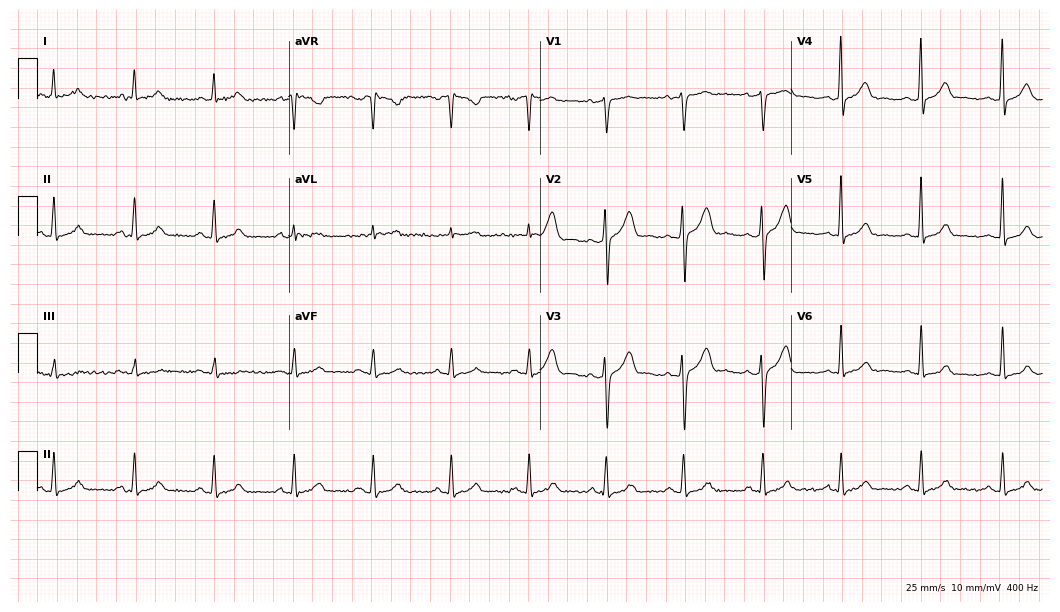
12-lead ECG from a 49-year-old male (10.2-second recording at 400 Hz). Recorded interpretation: within normal limits.